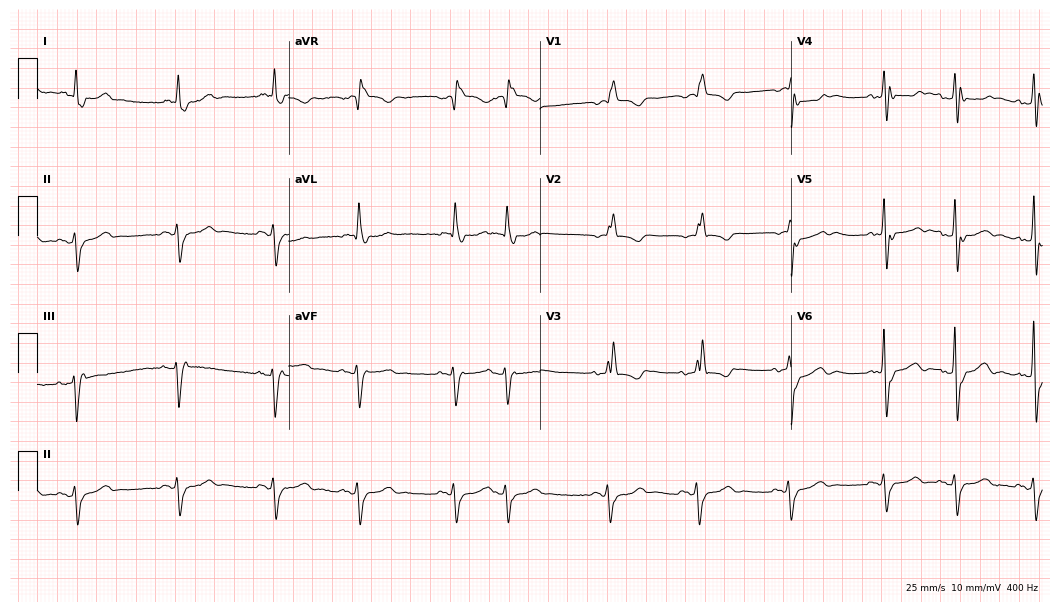
Electrocardiogram (10.2-second recording at 400 Hz), an 82-year-old woman. Interpretation includes right bundle branch block.